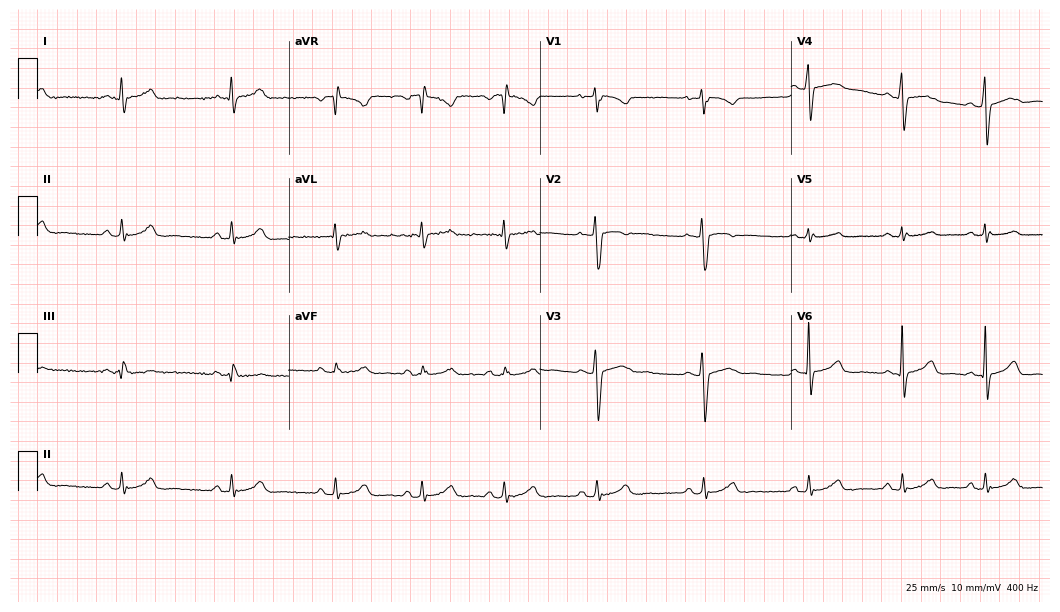
Standard 12-lead ECG recorded from a 23-year-old male (10.2-second recording at 400 Hz). Read as a normal ECG.